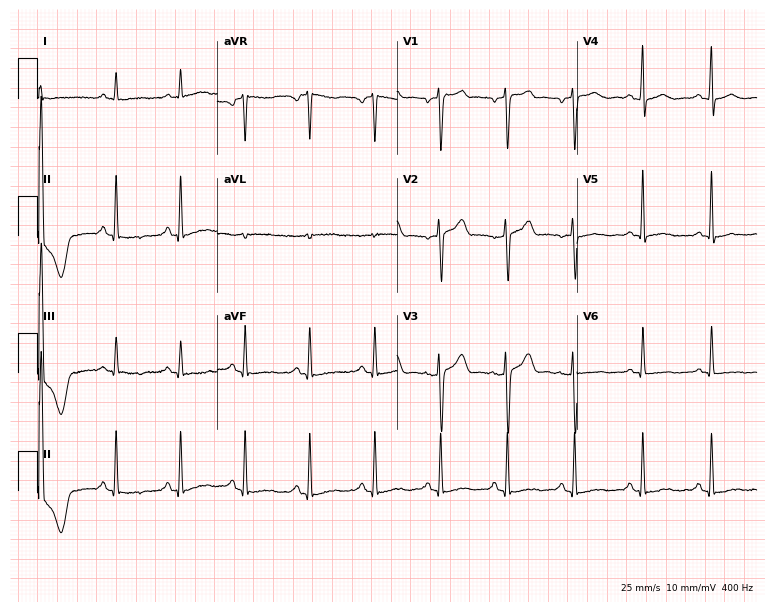
Resting 12-lead electrocardiogram (7.3-second recording at 400 Hz). Patient: a male, 52 years old. Read as a normal ECG.